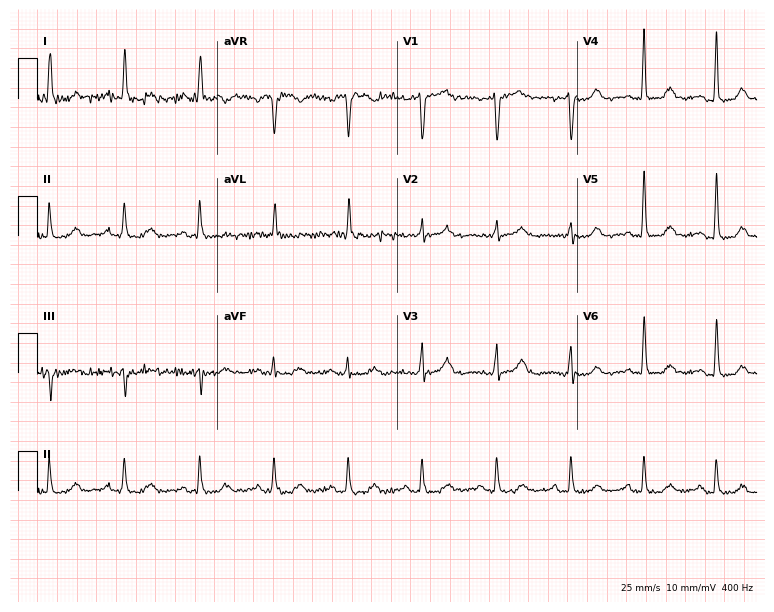
ECG (7.3-second recording at 400 Hz) — a female, 84 years old. Labelled as a normal ECG.